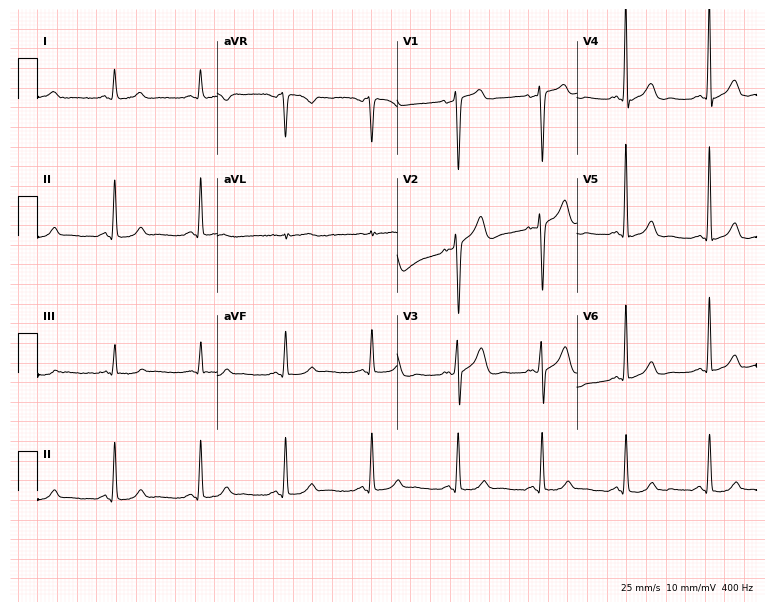
ECG (7.3-second recording at 400 Hz) — a male patient, 38 years old. Screened for six findings — first-degree AV block, right bundle branch block (RBBB), left bundle branch block (LBBB), sinus bradycardia, atrial fibrillation (AF), sinus tachycardia — none is recorded.